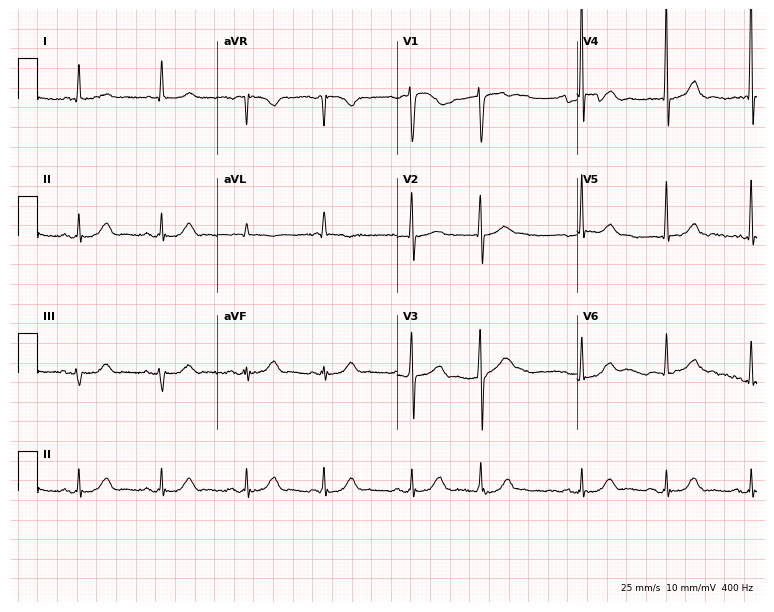
12-lead ECG from an 81-year-old male patient (7.3-second recording at 400 Hz). Recorded interpretation: within normal limits.